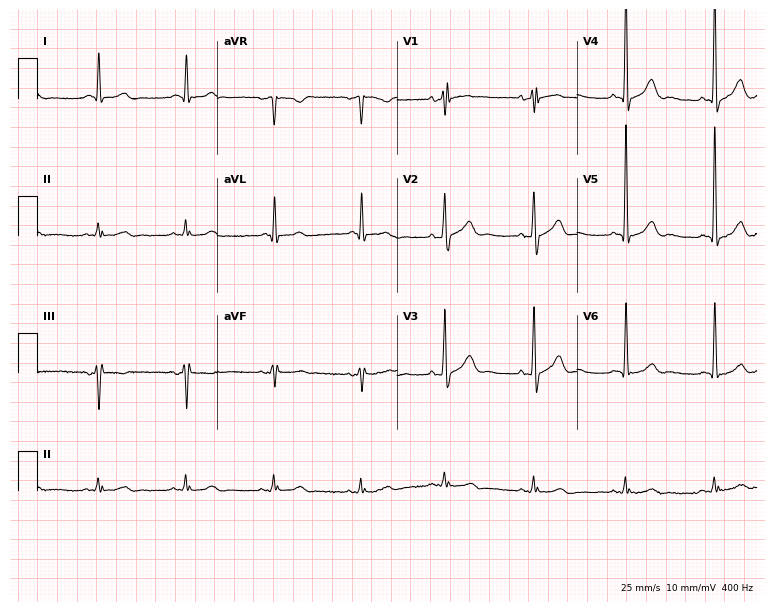
Resting 12-lead electrocardiogram. Patient: an 84-year-old male. None of these six findings is recorded: first-degree AV block, right bundle branch block, left bundle branch block, sinus bradycardia, atrial fibrillation, sinus tachycardia. Other findings, if any, are not listed.